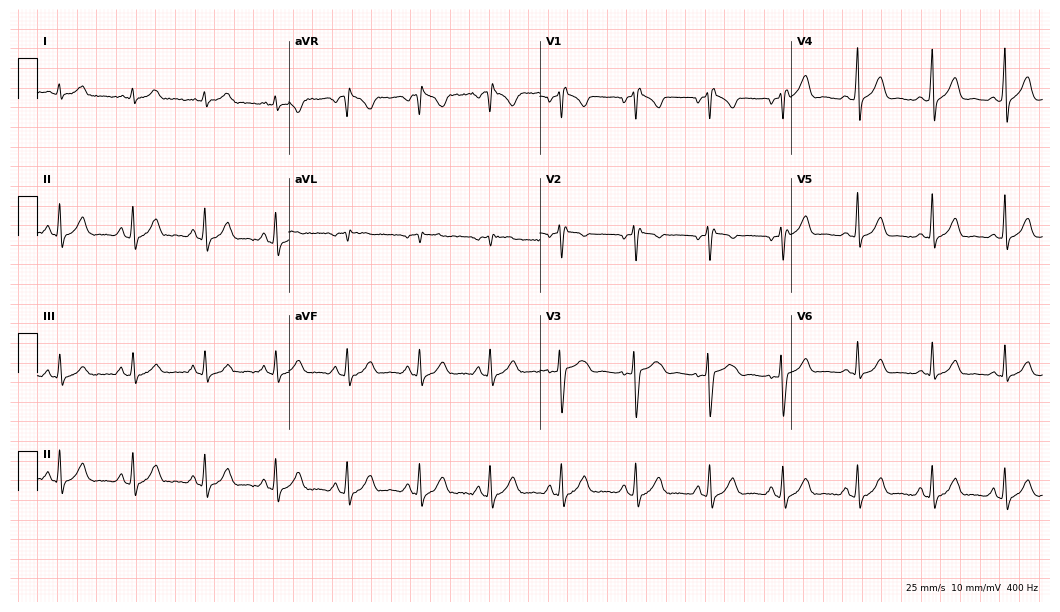
Standard 12-lead ECG recorded from a female, 26 years old. None of these six findings is recorded: first-degree AV block, right bundle branch block, left bundle branch block, sinus bradycardia, atrial fibrillation, sinus tachycardia. Other findings, if any, are not listed.